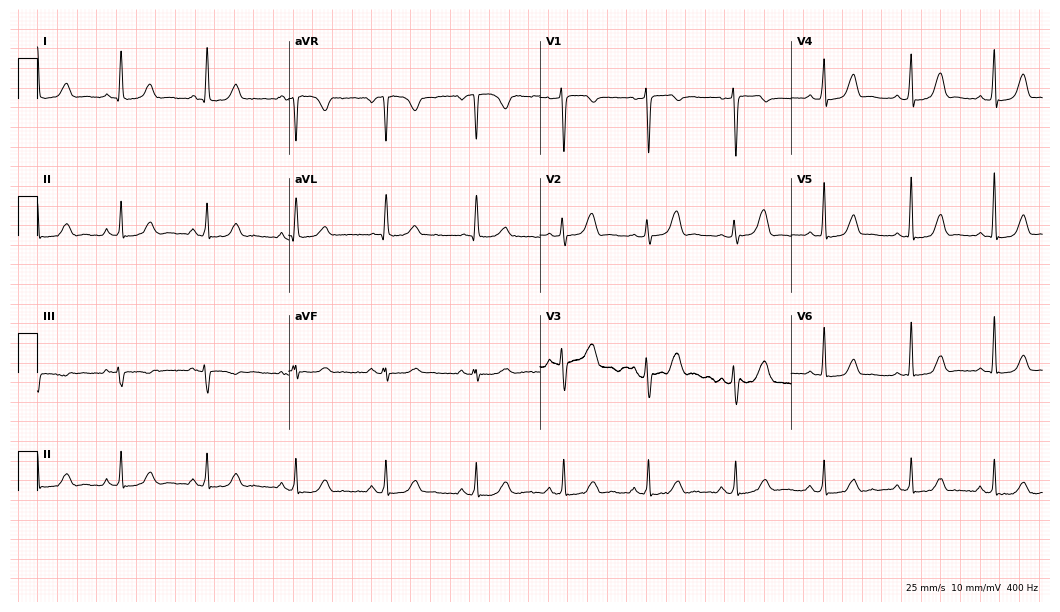
Electrocardiogram, a female patient, 49 years old. Overall reading on record: normal ECG.